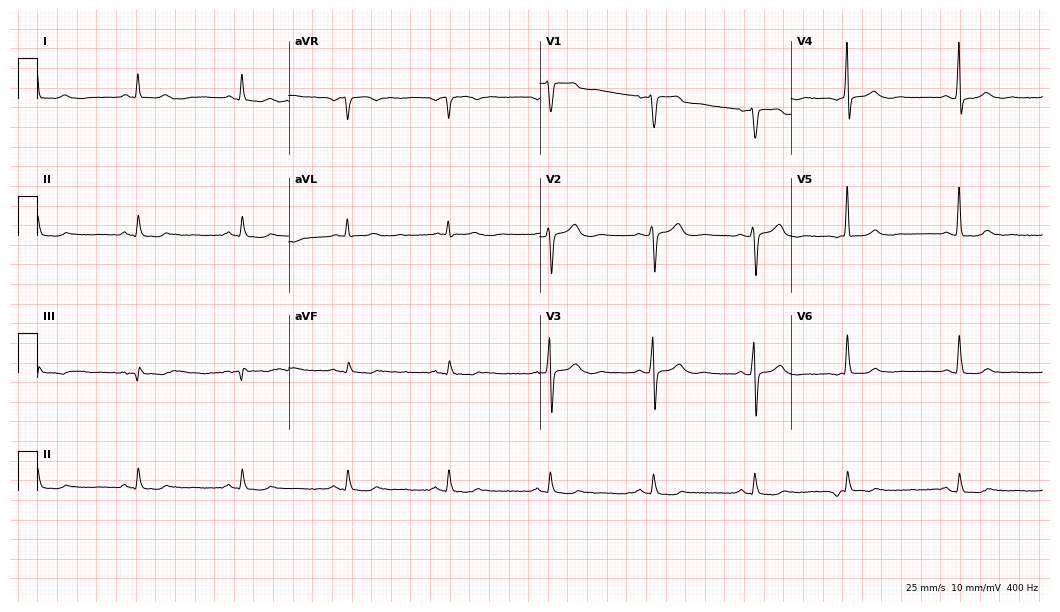
Resting 12-lead electrocardiogram. Patient: a male, 58 years old. Read as a normal ECG.